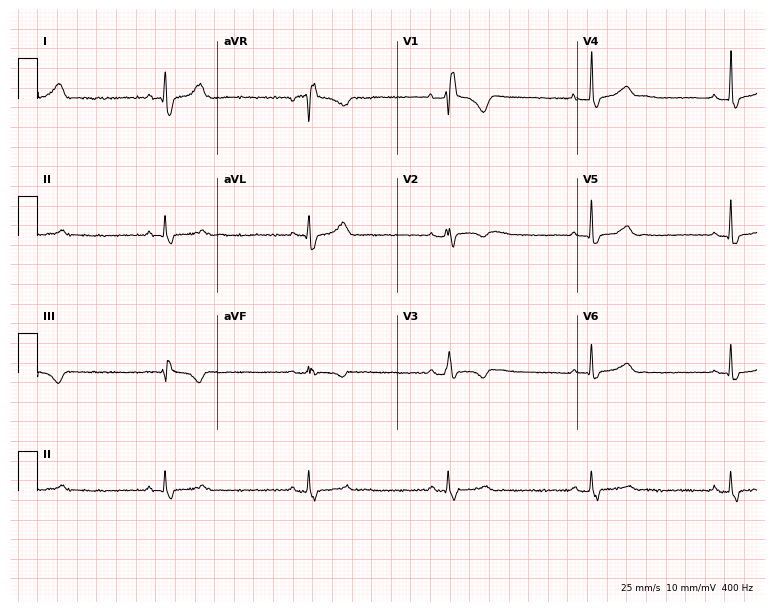
Resting 12-lead electrocardiogram. Patient: a 35-year-old female. The tracing shows right bundle branch block (RBBB), sinus bradycardia (a sinus rate of 50 beats per minute or less).